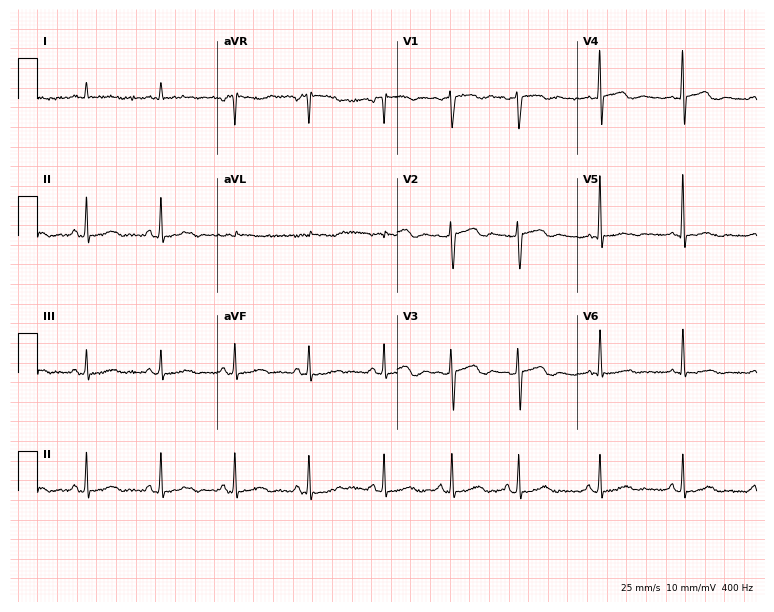
Resting 12-lead electrocardiogram (7.3-second recording at 400 Hz). Patient: a male, 73 years old. Read as a normal ECG.